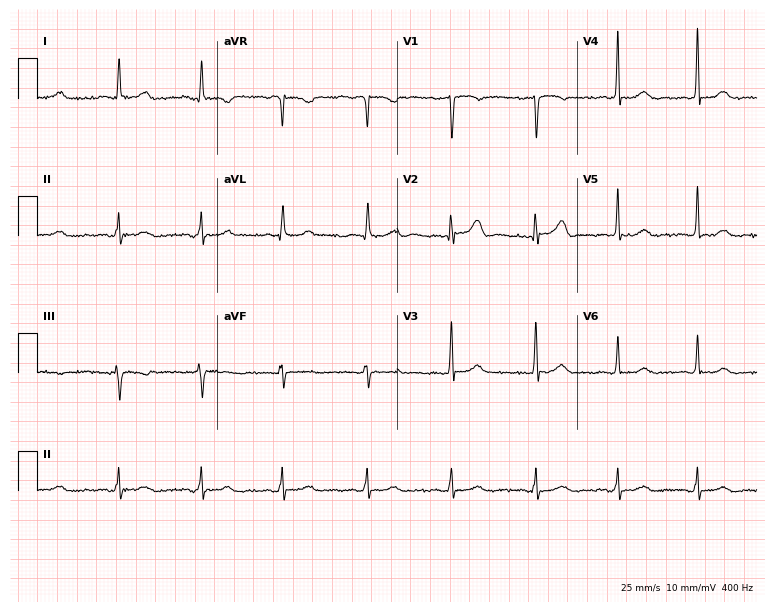
Electrocardiogram, a female, 34 years old. Overall reading on record: normal ECG.